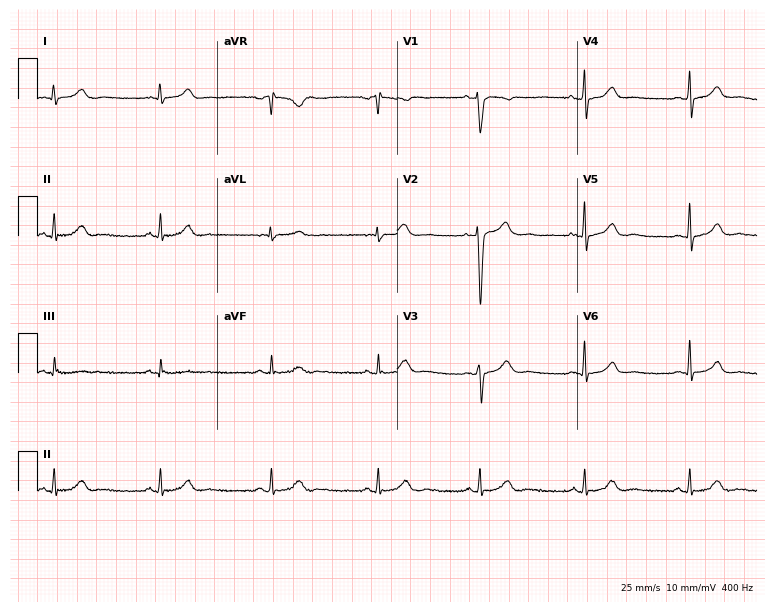
Resting 12-lead electrocardiogram (7.3-second recording at 400 Hz). Patient: a female, 25 years old. None of these six findings is recorded: first-degree AV block, right bundle branch block, left bundle branch block, sinus bradycardia, atrial fibrillation, sinus tachycardia.